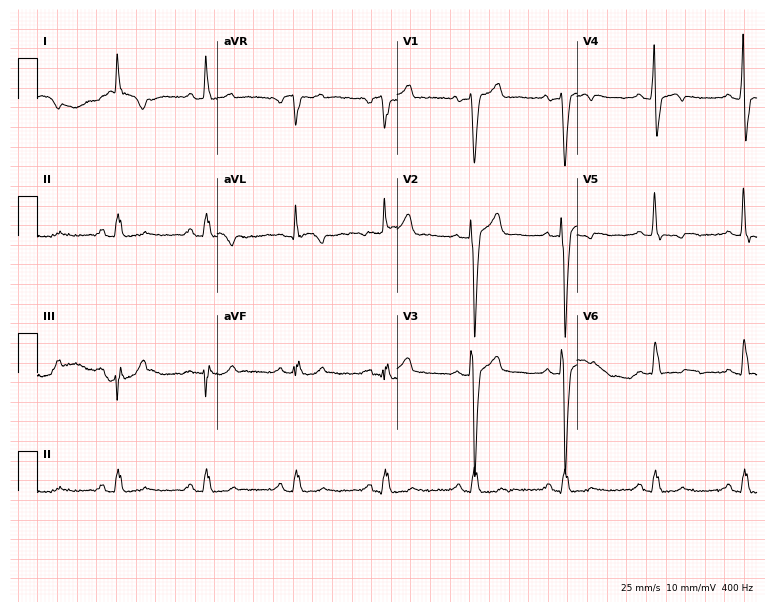
Electrocardiogram (7.3-second recording at 400 Hz), a 44-year-old man. Of the six screened findings (first-degree AV block, right bundle branch block (RBBB), left bundle branch block (LBBB), sinus bradycardia, atrial fibrillation (AF), sinus tachycardia), none is recorded.